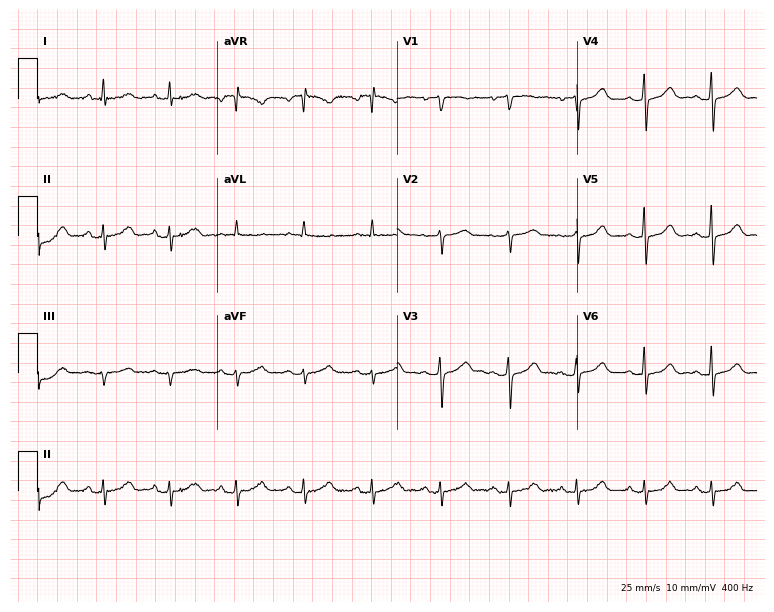
12-lead ECG from a female patient, 58 years old (7.3-second recording at 400 Hz). Recorded interpretation: within normal limits.